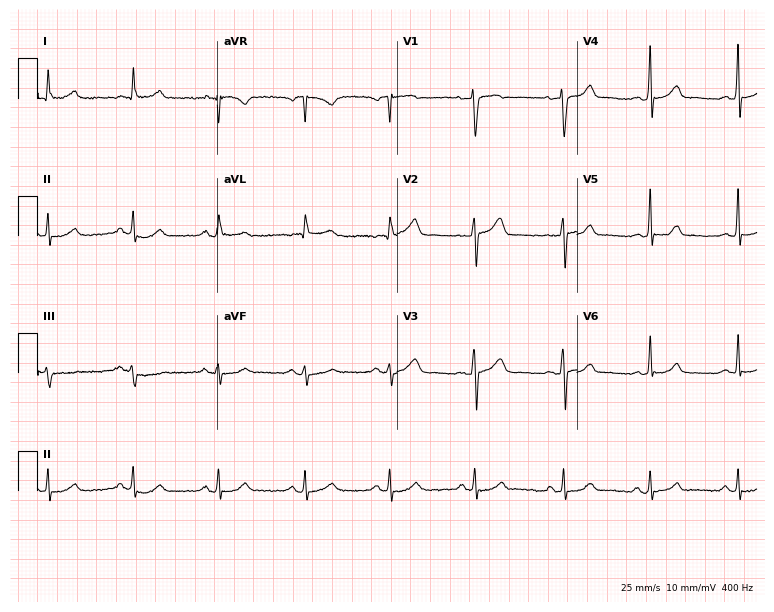
Standard 12-lead ECG recorded from a 53-year-old man. Read as a normal ECG.